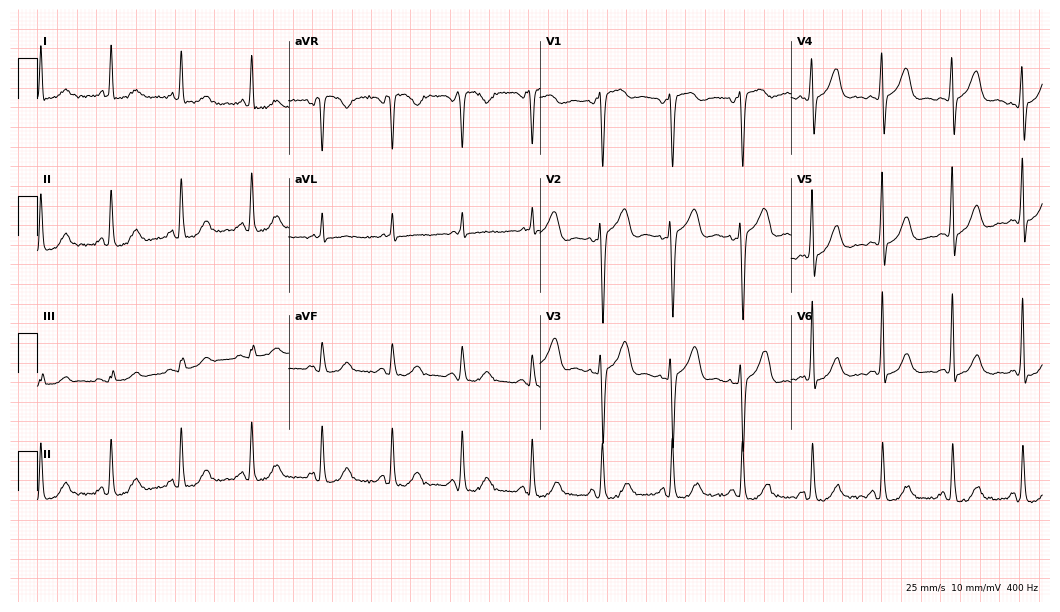
12-lead ECG (10.2-second recording at 400 Hz) from a male patient, 77 years old. Labelled as a normal ECG.